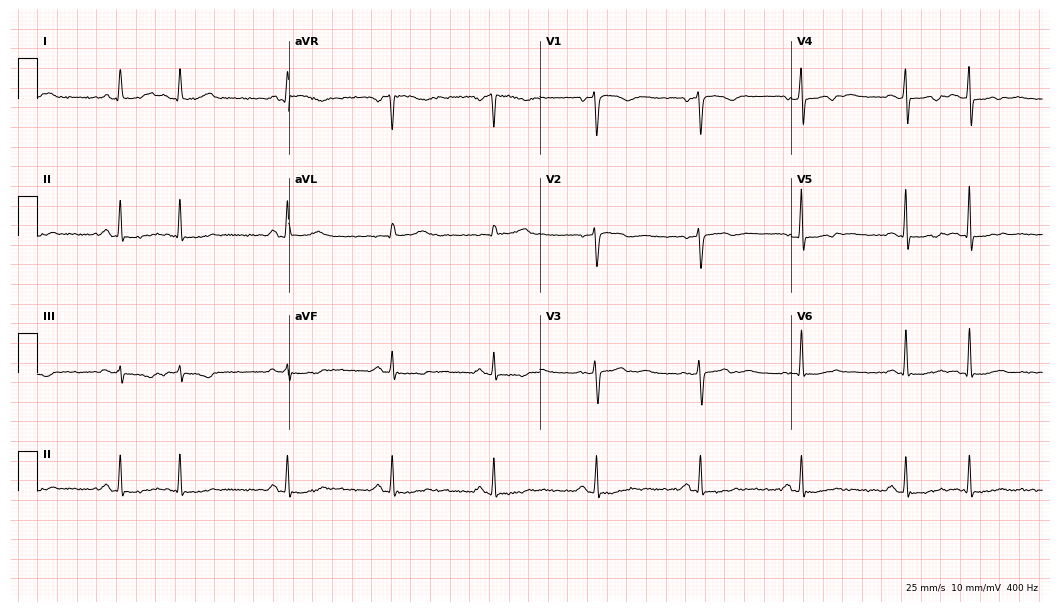
12-lead ECG (10.2-second recording at 400 Hz) from a woman, 52 years old. Screened for six findings — first-degree AV block, right bundle branch block, left bundle branch block, sinus bradycardia, atrial fibrillation, sinus tachycardia — none is recorded.